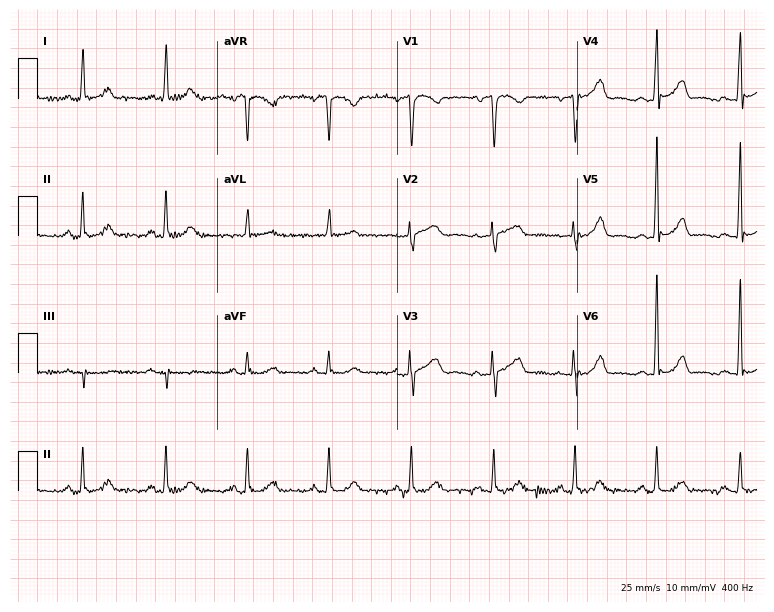
12-lead ECG from a 54-year-old female. Recorded interpretation: within normal limits.